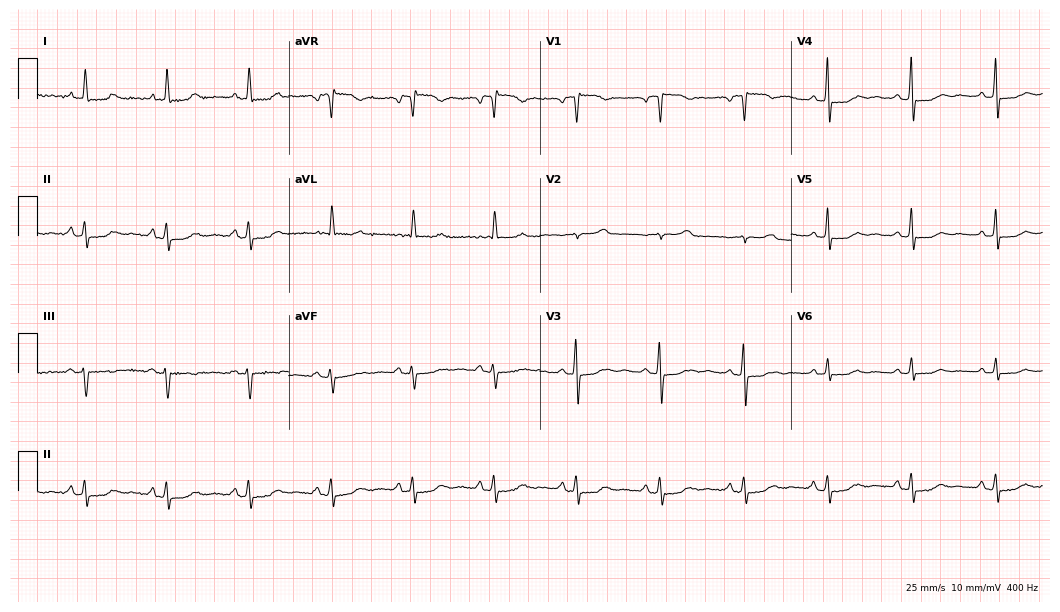
ECG (10.2-second recording at 400 Hz) — a female, 66 years old. Labelled as a normal ECG.